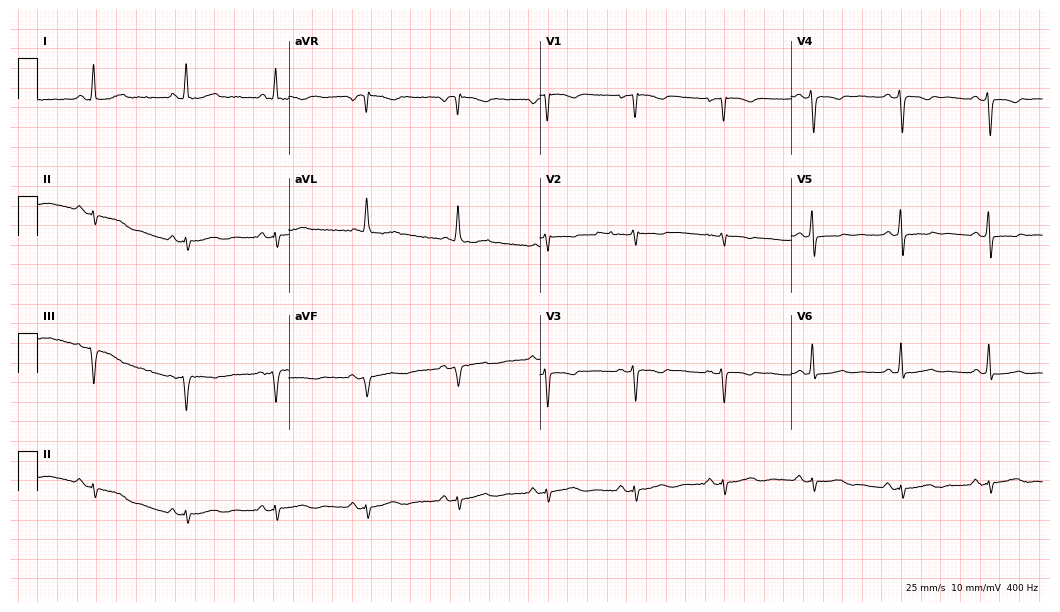
ECG — a 50-year-old female patient. Screened for six findings — first-degree AV block, right bundle branch block (RBBB), left bundle branch block (LBBB), sinus bradycardia, atrial fibrillation (AF), sinus tachycardia — none is recorded.